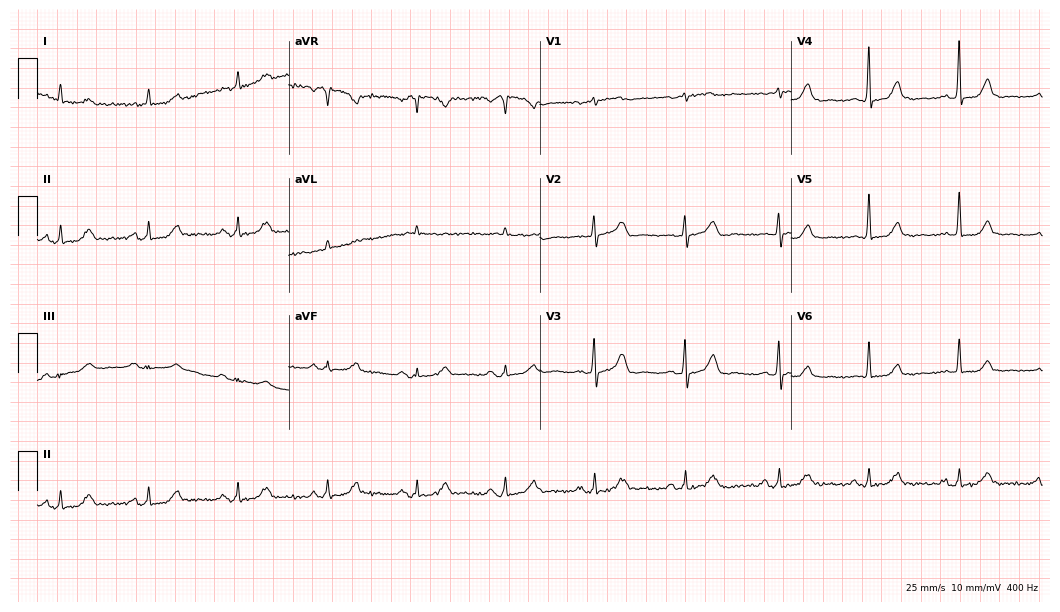
Resting 12-lead electrocardiogram (10.2-second recording at 400 Hz). Patient: a 72-year-old female. Read as a normal ECG.